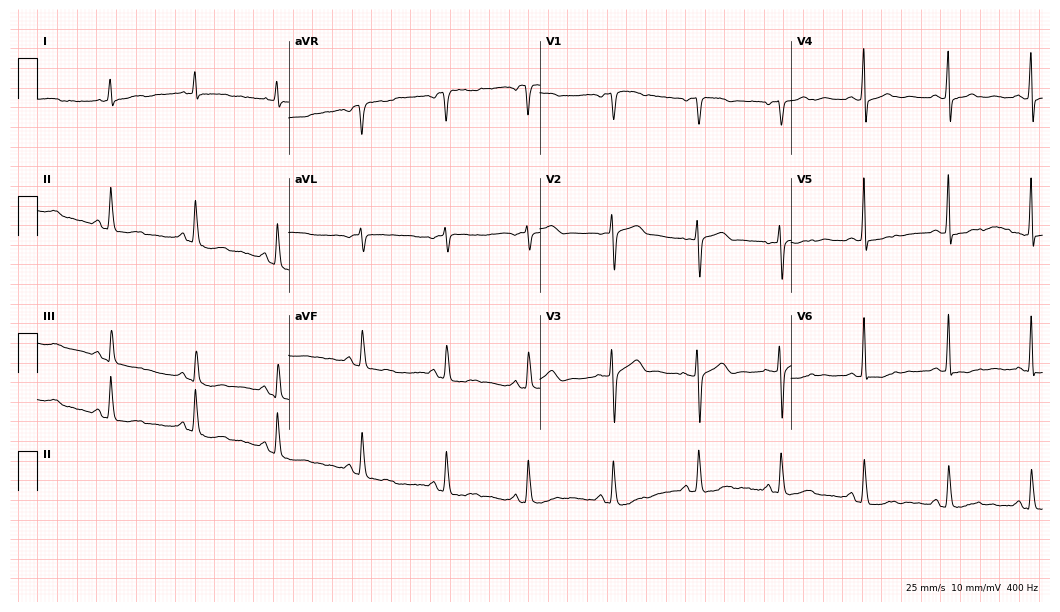
Standard 12-lead ECG recorded from a female, 69 years old. Read as a normal ECG.